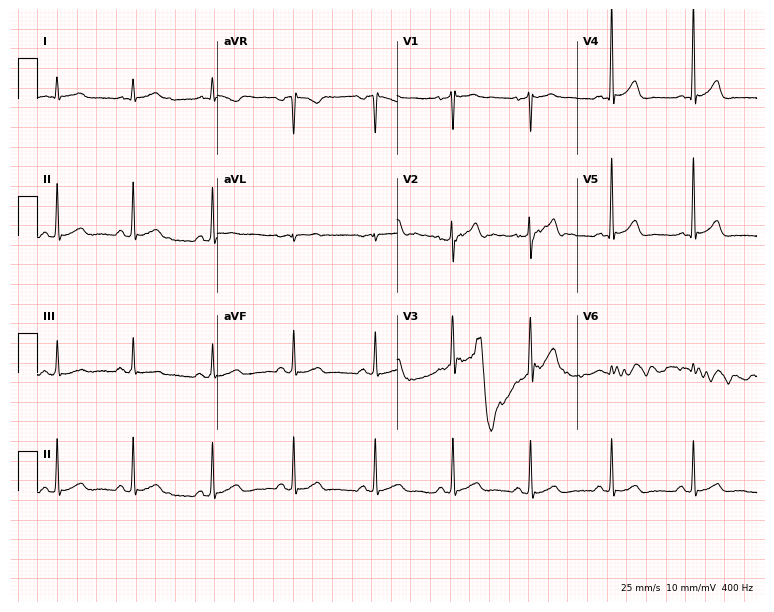
Standard 12-lead ECG recorded from a man, 30 years old. None of these six findings is recorded: first-degree AV block, right bundle branch block, left bundle branch block, sinus bradycardia, atrial fibrillation, sinus tachycardia.